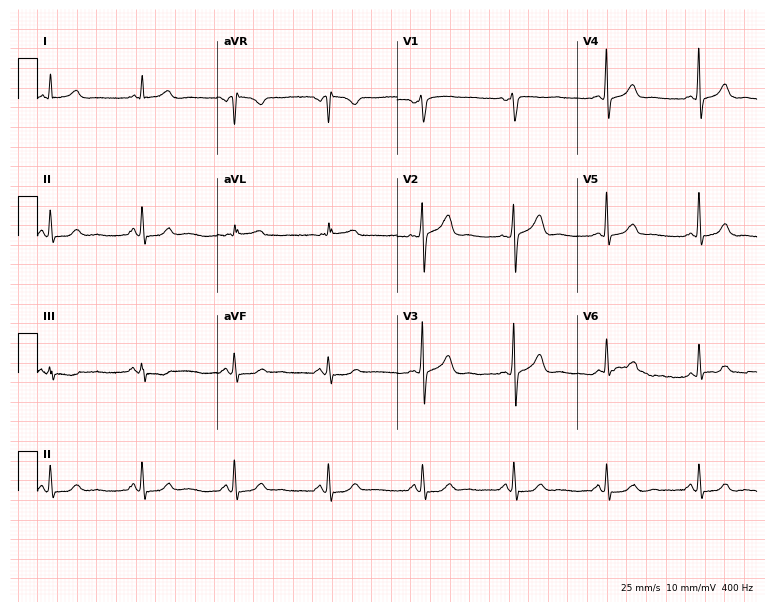
12-lead ECG from a 70-year-old male (7.3-second recording at 400 Hz). No first-degree AV block, right bundle branch block (RBBB), left bundle branch block (LBBB), sinus bradycardia, atrial fibrillation (AF) or sinus tachycardia recorded for this tracing.